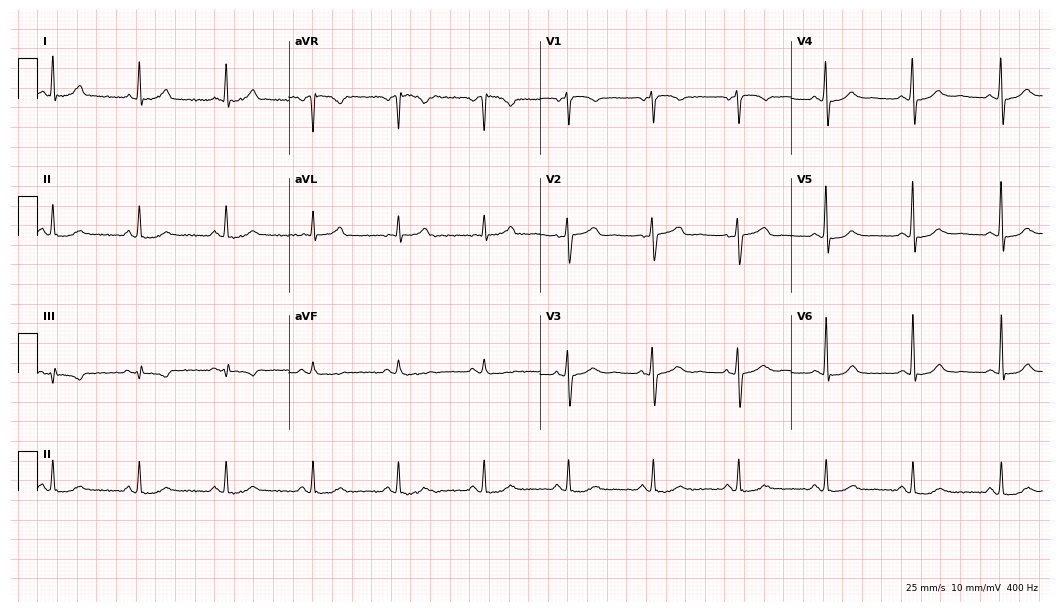
Electrocardiogram, a female, 68 years old. Overall reading on record: normal ECG.